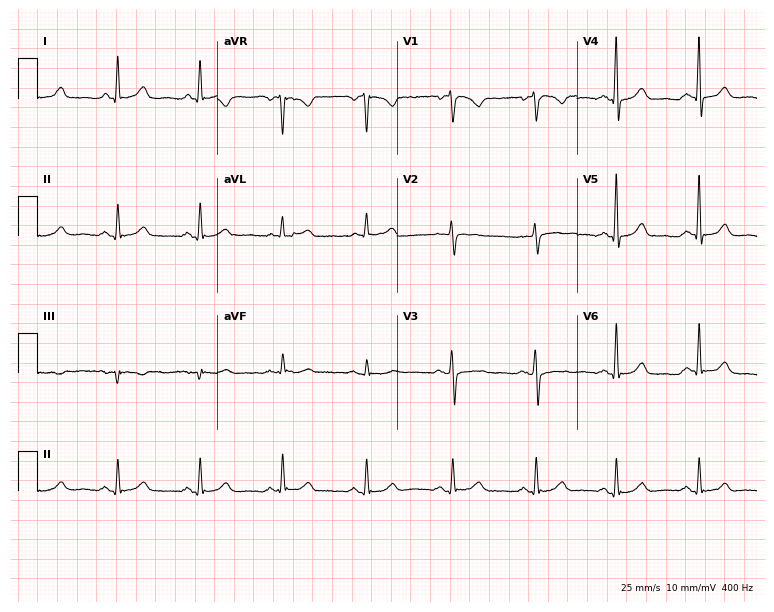
ECG (7.3-second recording at 400 Hz) — a 66-year-old woman. Screened for six findings — first-degree AV block, right bundle branch block, left bundle branch block, sinus bradycardia, atrial fibrillation, sinus tachycardia — none is recorded.